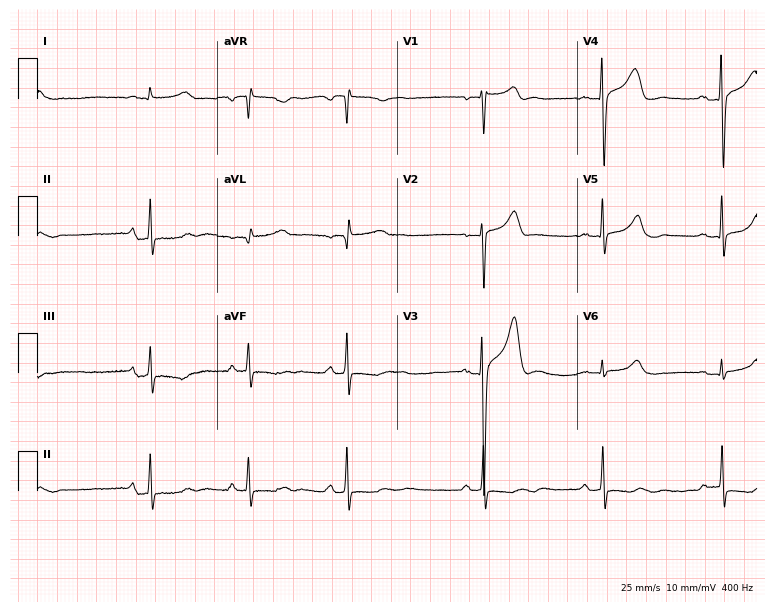
12-lead ECG from a male patient, 36 years old. Screened for six findings — first-degree AV block, right bundle branch block, left bundle branch block, sinus bradycardia, atrial fibrillation, sinus tachycardia — none is recorded. Only these six findings were labelled.